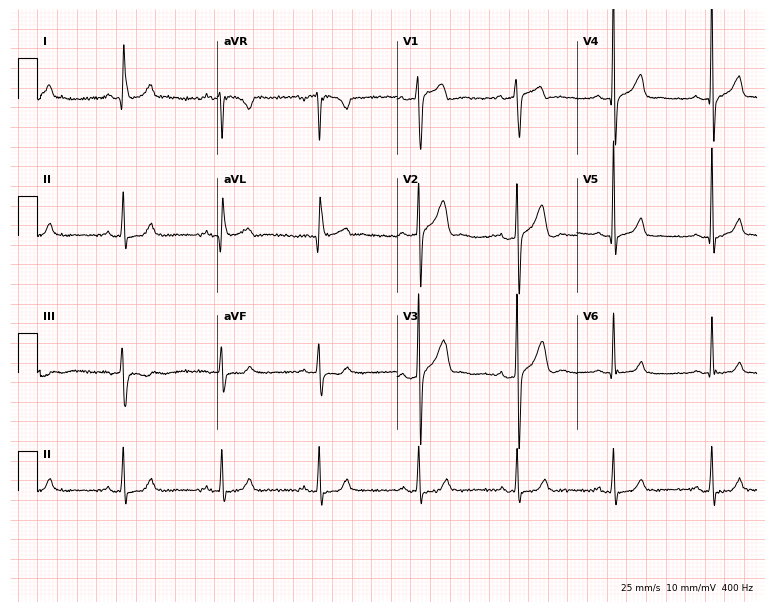
12-lead ECG from a 58-year-old male (7.3-second recording at 400 Hz). No first-degree AV block, right bundle branch block (RBBB), left bundle branch block (LBBB), sinus bradycardia, atrial fibrillation (AF) or sinus tachycardia recorded for this tracing. Findings outside these six are not listed.